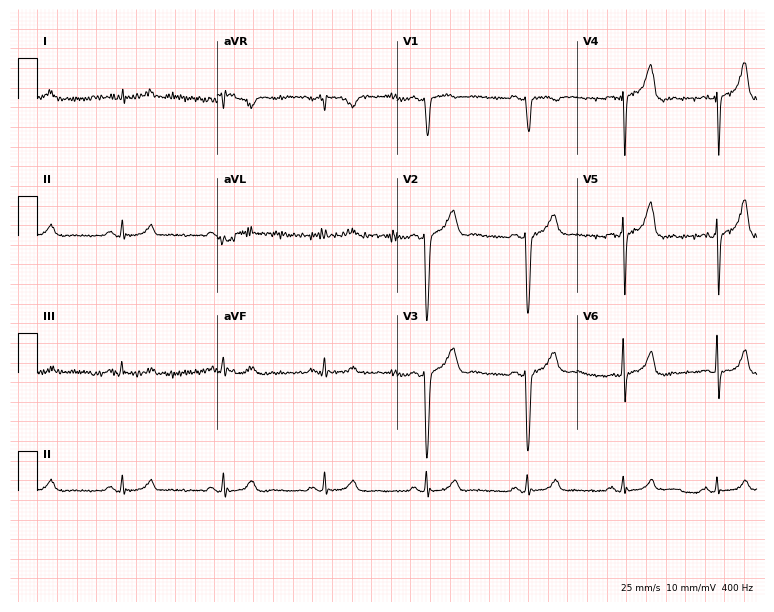
Standard 12-lead ECG recorded from a 62-year-old man. None of these six findings is recorded: first-degree AV block, right bundle branch block, left bundle branch block, sinus bradycardia, atrial fibrillation, sinus tachycardia. Findings outside these six are not listed.